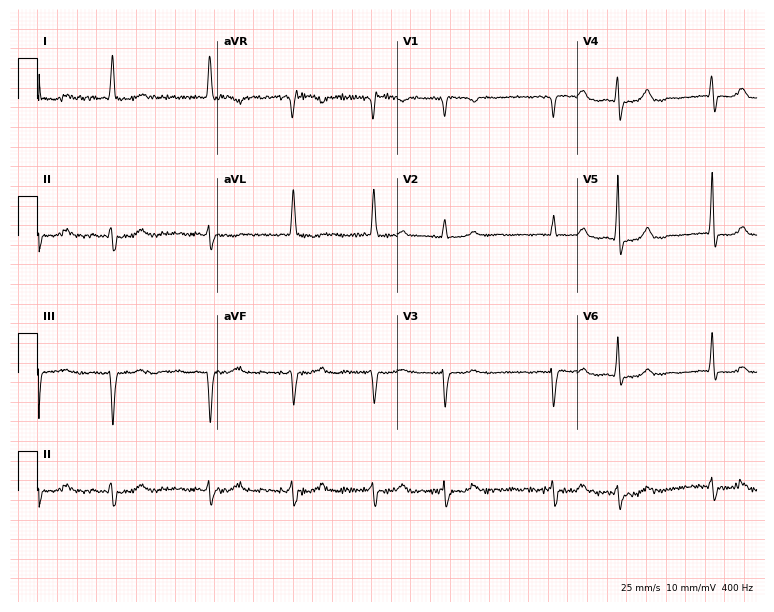
12-lead ECG from a 70-year-old female patient (7.3-second recording at 400 Hz). No first-degree AV block, right bundle branch block, left bundle branch block, sinus bradycardia, atrial fibrillation or sinus tachycardia recorded for this tracing. Other findings, if any, are not listed.